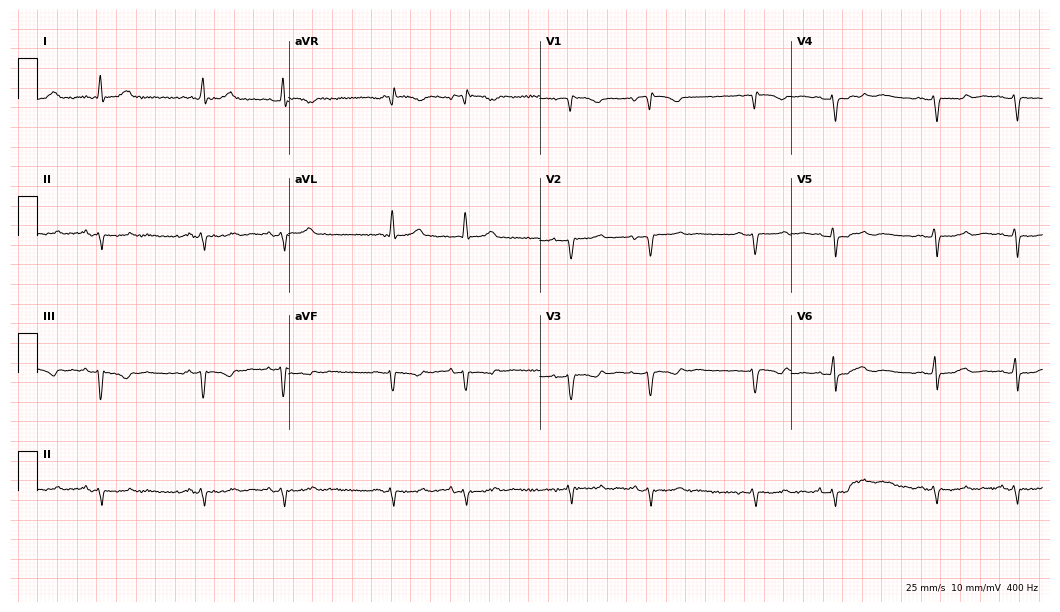
Electrocardiogram, a female, 47 years old. Of the six screened findings (first-degree AV block, right bundle branch block (RBBB), left bundle branch block (LBBB), sinus bradycardia, atrial fibrillation (AF), sinus tachycardia), none is recorded. Other findings, if any, are not listed.